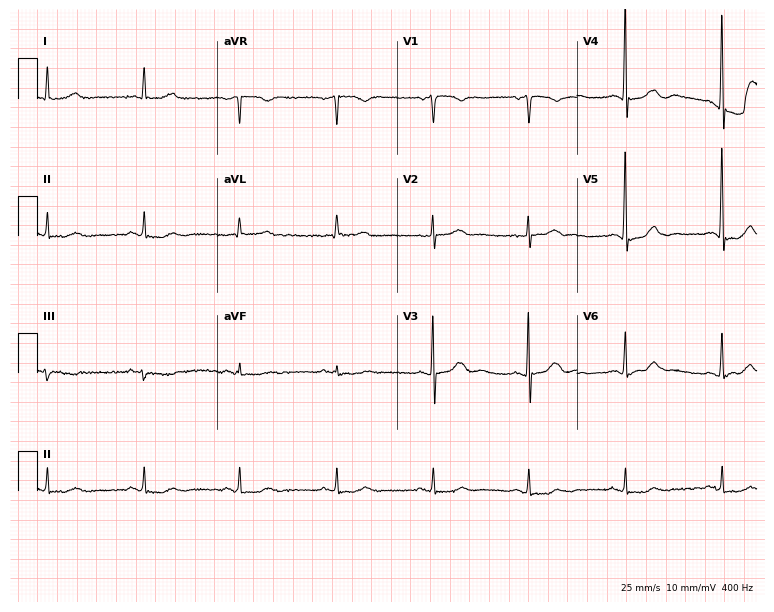
Electrocardiogram (7.3-second recording at 400 Hz), a female, 83 years old. Of the six screened findings (first-degree AV block, right bundle branch block (RBBB), left bundle branch block (LBBB), sinus bradycardia, atrial fibrillation (AF), sinus tachycardia), none is recorded.